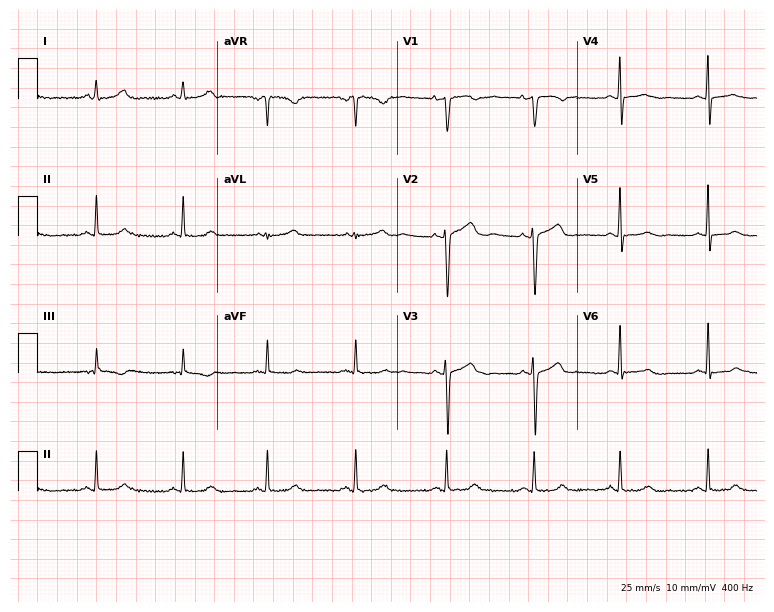
Resting 12-lead electrocardiogram. Patient: a female, 24 years old. Read as a normal ECG.